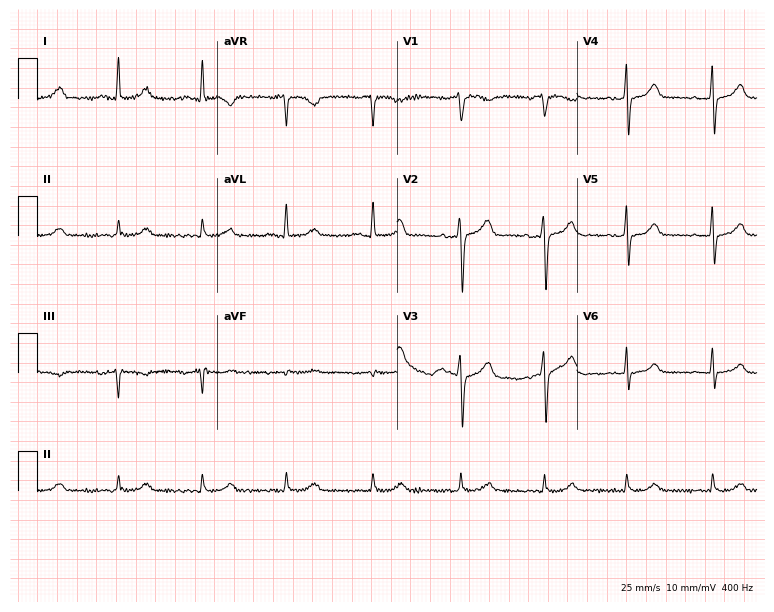
12-lead ECG (7.3-second recording at 400 Hz) from a 63-year-old woman. Labelled as a normal ECG.